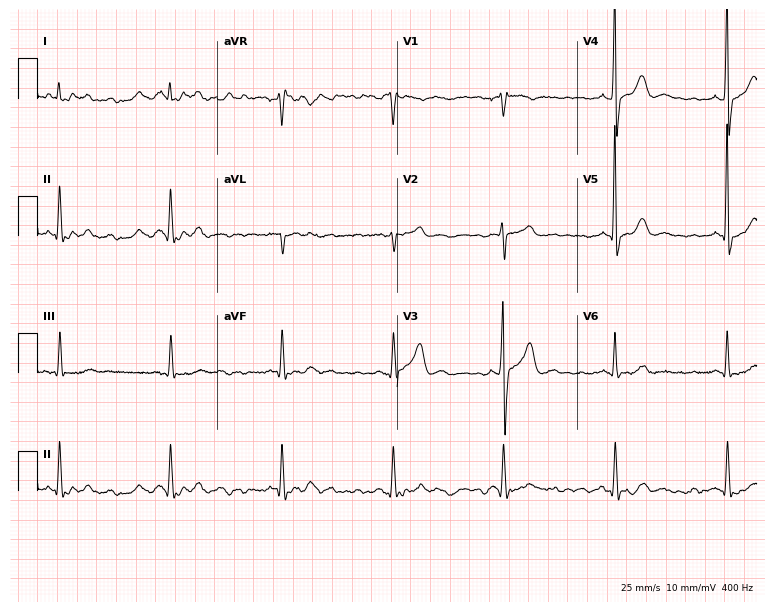
ECG — a 71-year-old male. Labelled as a normal ECG.